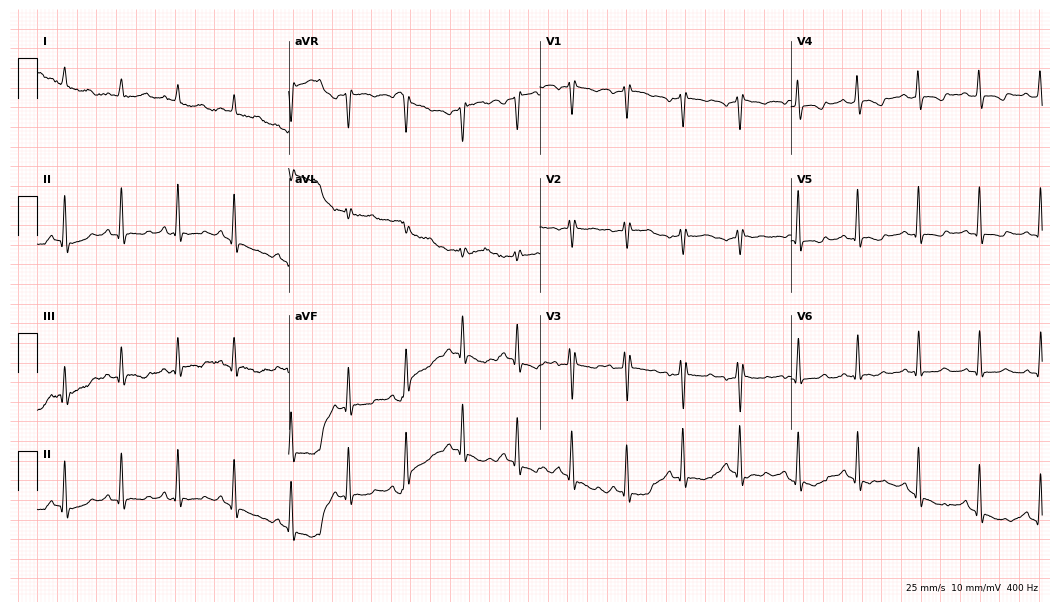
12-lead ECG (10.2-second recording at 400 Hz) from a woman, 36 years old. Screened for six findings — first-degree AV block, right bundle branch block, left bundle branch block, sinus bradycardia, atrial fibrillation, sinus tachycardia — none is recorded. Only these six findings were labelled.